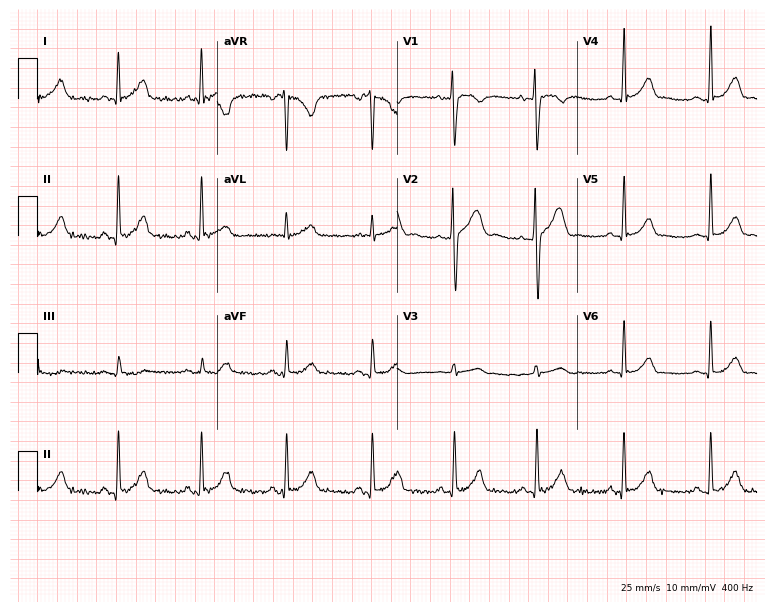
Resting 12-lead electrocardiogram (7.3-second recording at 400 Hz). Patient: a male, 25 years old. Read as a normal ECG.